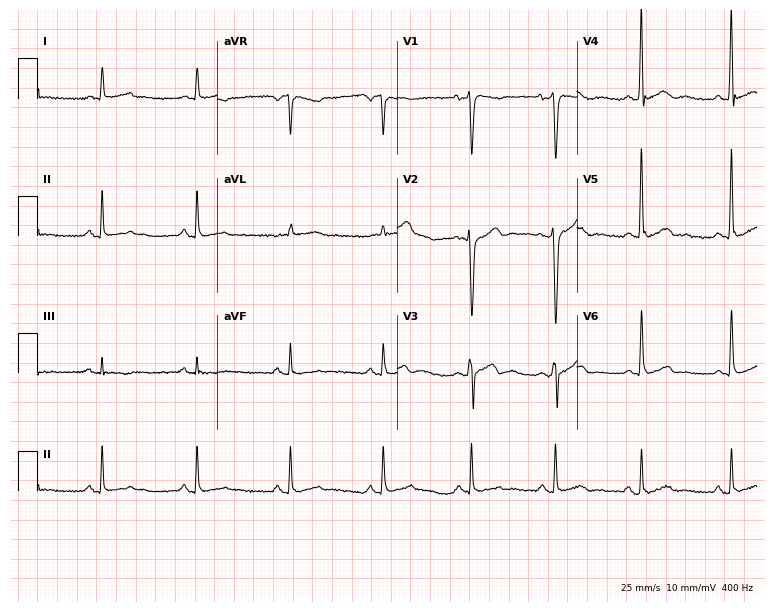
Standard 12-lead ECG recorded from a male, 49 years old (7.3-second recording at 400 Hz). None of these six findings is recorded: first-degree AV block, right bundle branch block, left bundle branch block, sinus bradycardia, atrial fibrillation, sinus tachycardia.